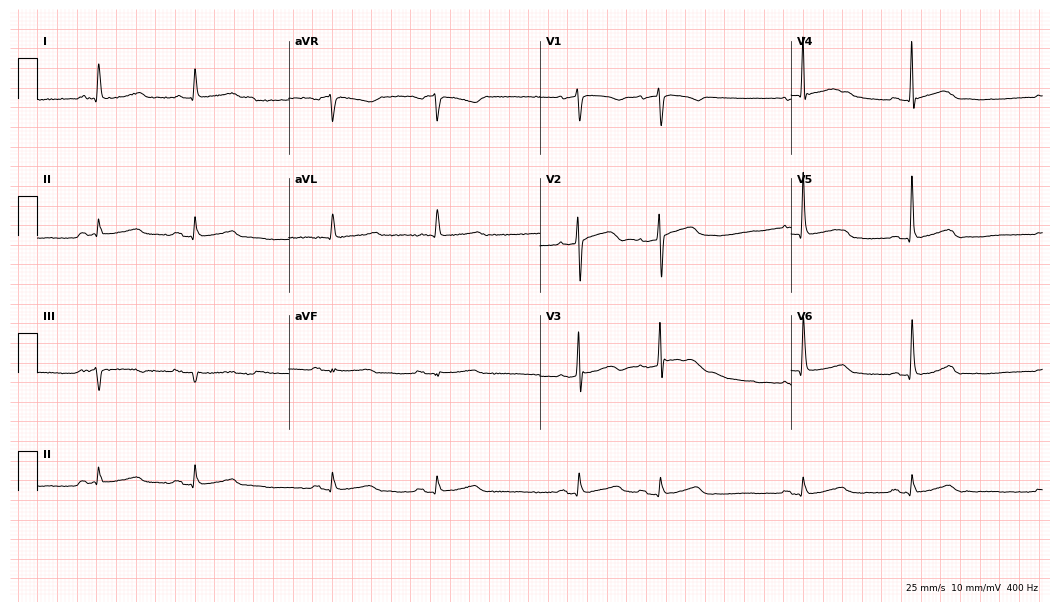
12-lead ECG (10.2-second recording at 400 Hz) from an 83-year-old man. Screened for six findings — first-degree AV block, right bundle branch block (RBBB), left bundle branch block (LBBB), sinus bradycardia, atrial fibrillation (AF), sinus tachycardia — none is recorded.